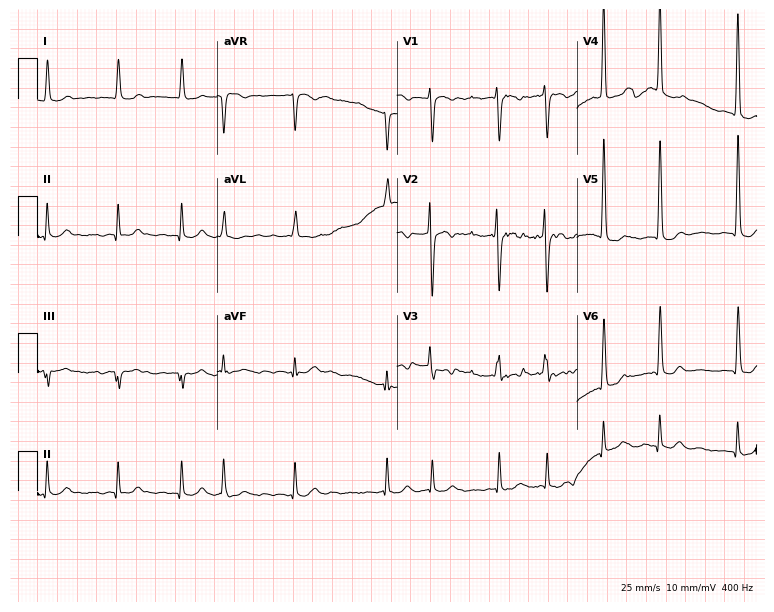
Standard 12-lead ECG recorded from an 81-year-old female patient. The tracing shows atrial fibrillation.